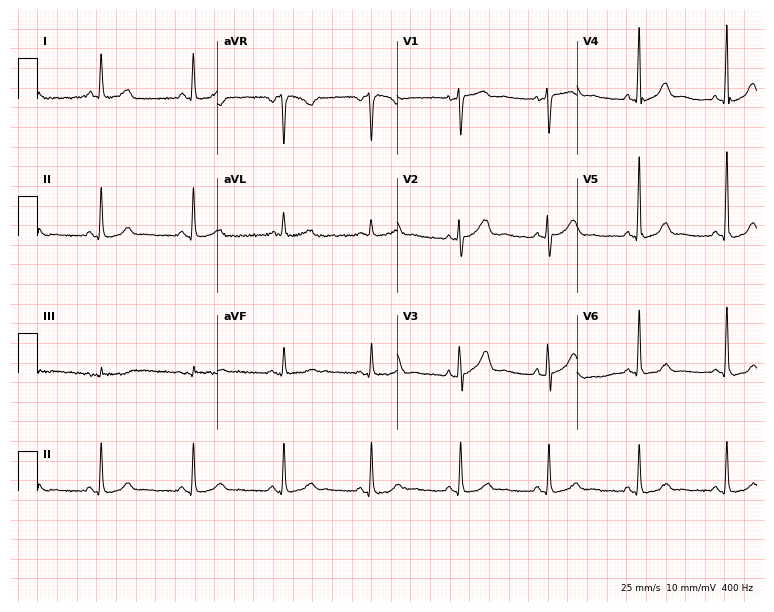
12-lead ECG from a woman, 55 years old. Labelled as a normal ECG.